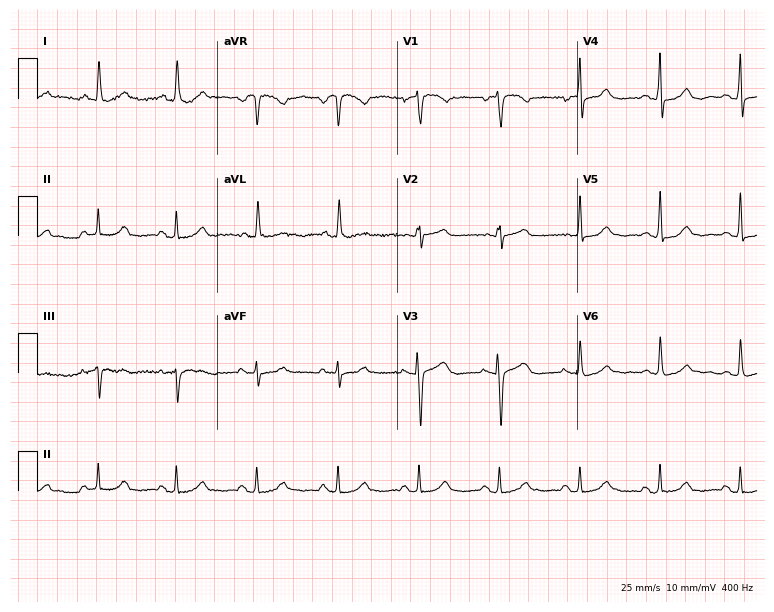
12-lead ECG from a 77-year-old female patient. Labelled as a normal ECG.